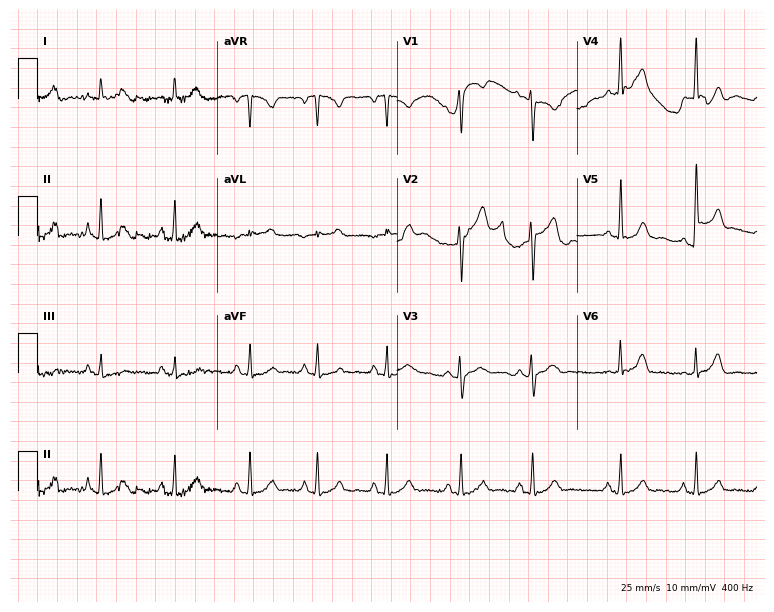
Standard 12-lead ECG recorded from a woman, 20 years old (7.3-second recording at 400 Hz). Read as a normal ECG.